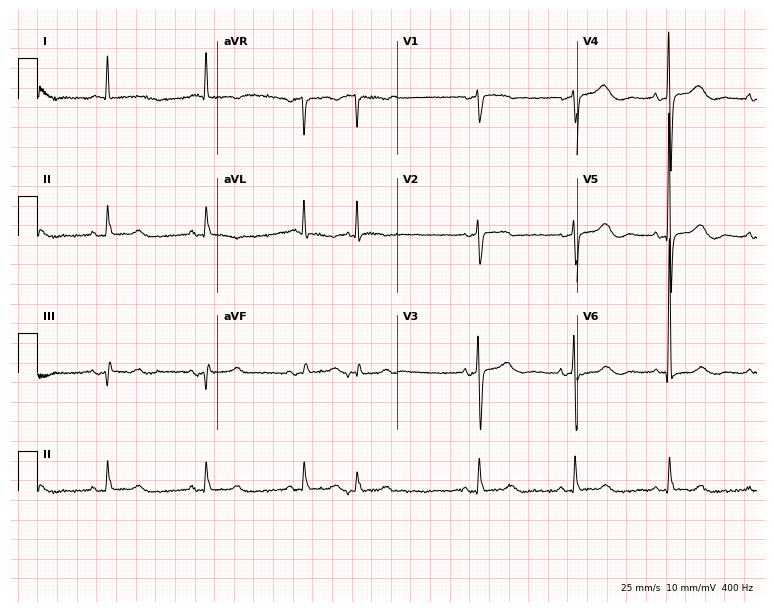
Electrocardiogram, a woman, 80 years old. Of the six screened findings (first-degree AV block, right bundle branch block, left bundle branch block, sinus bradycardia, atrial fibrillation, sinus tachycardia), none is recorded. Other findings, if any, are not listed.